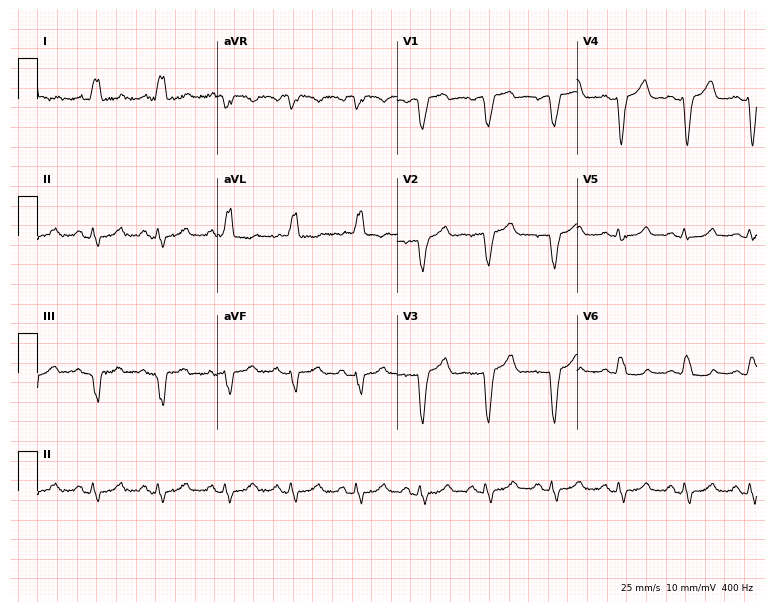
Resting 12-lead electrocardiogram (7.3-second recording at 400 Hz). Patient: a female, 78 years old. The tracing shows left bundle branch block.